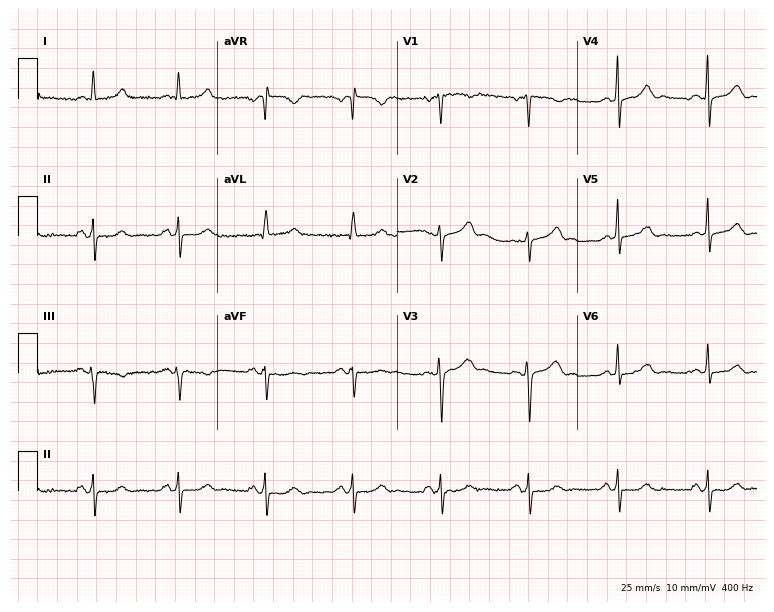
Standard 12-lead ECG recorded from a 74-year-old female patient (7.3-second recording at 400 Hz). None of these six findings is recorded: first-degree AV block, right bundle branch block (RBBB), left bundle branch block (LBBB), sinus bradycardia, atrial fibrillation (AF), sinus tachycardia. Findings outside these six are not listed.